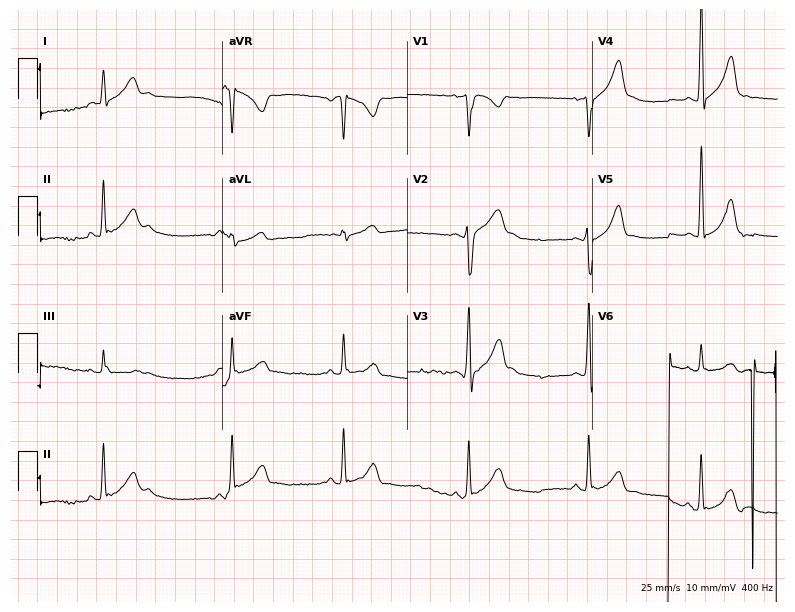
ECG (7.5-second recording at 400 Hz) — a 26-year-old male patient. Findings include atrial fibrillation.